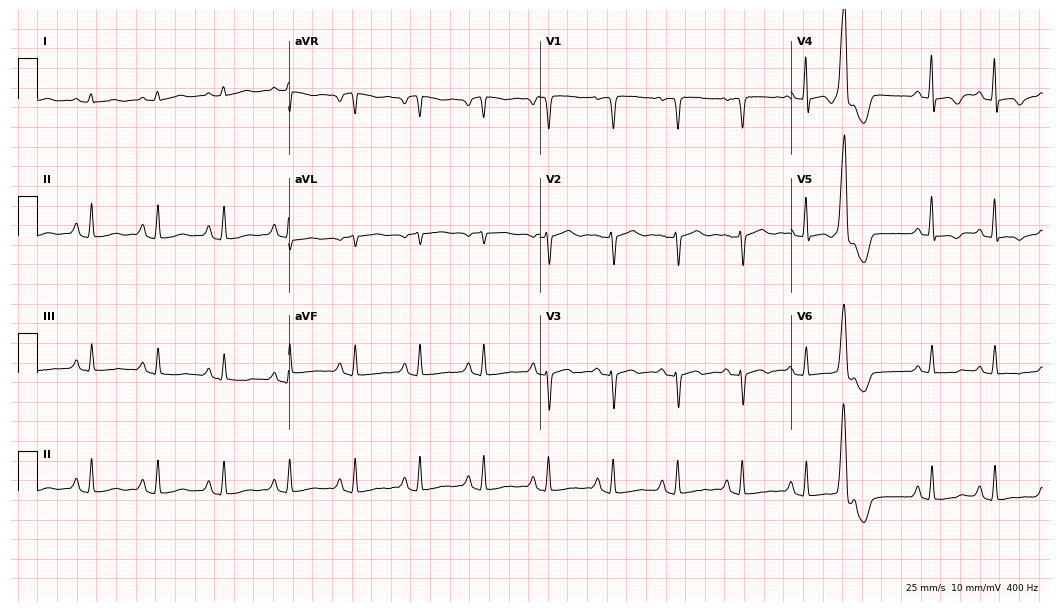
12-lead ECG from a female patient, 51 years old (10.2-second recording at 400 Hz). No first-degree AV block, right bundle branch block, left bundle branch block, sinus bradycardia, atrial fibrillation or sinus tachycardia recorded for this tracing.